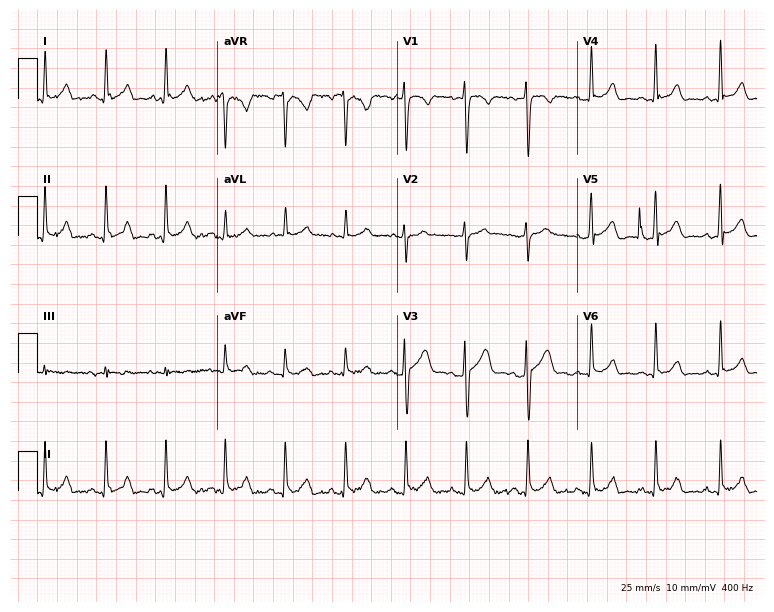
Electrocardiogram (7.3-second recording at 400 Hz), a male, 30 years old. Overall reading on record: normal ECG.